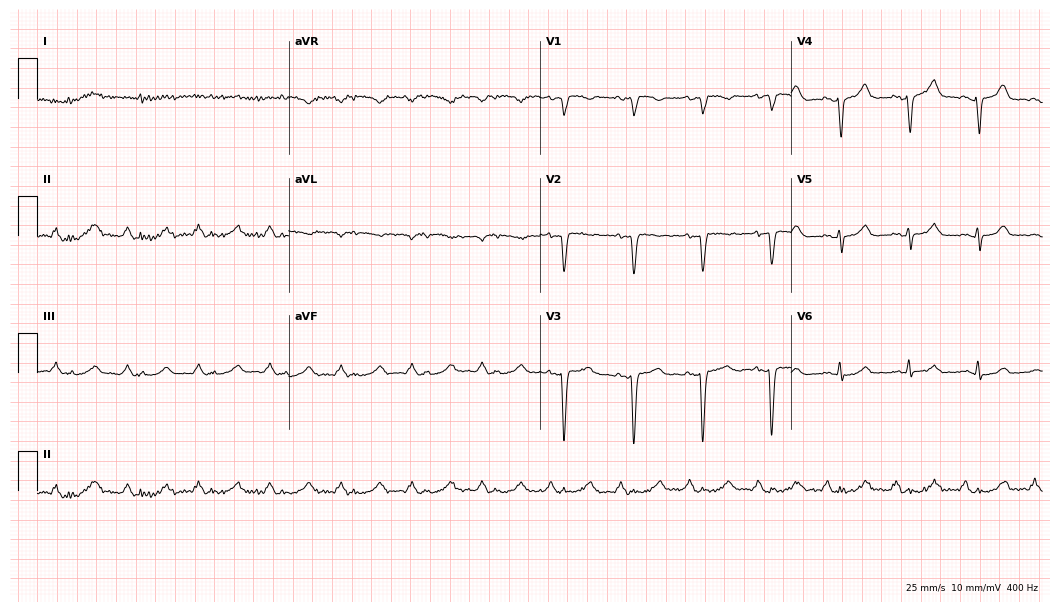
Standard 12-lead ECG recorded from a male patient, 73 years old. None of these six findings is recorded: first-degree AV block, right bundle branch block, left bundle branch block, sinus bradycardia, atrial fibrillation, sinus tachycardia.